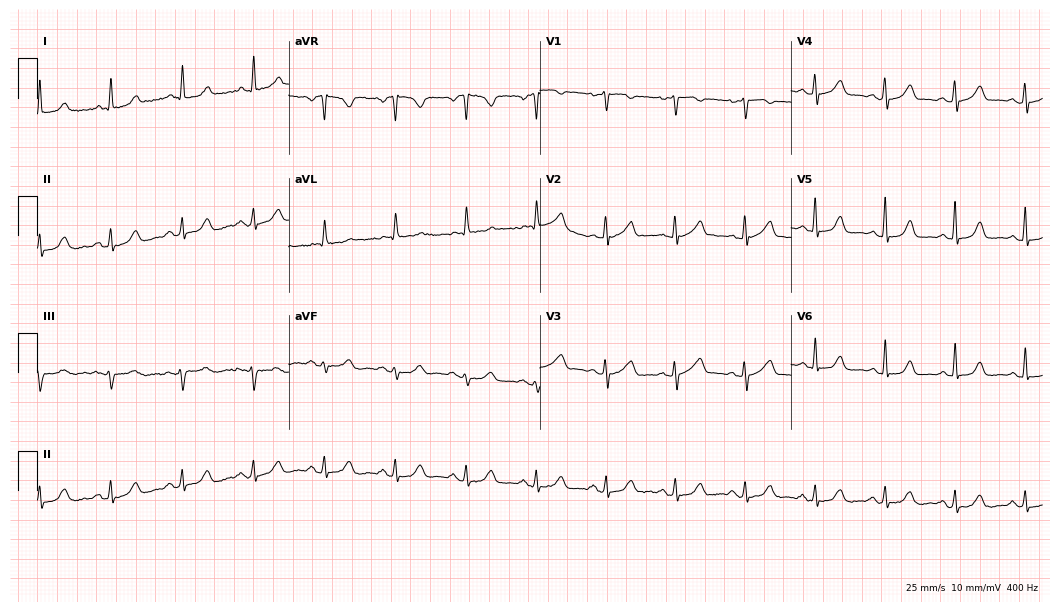
12-lead ECG from a female patient, 74 years old. Recorded interpretation: within normal limits.